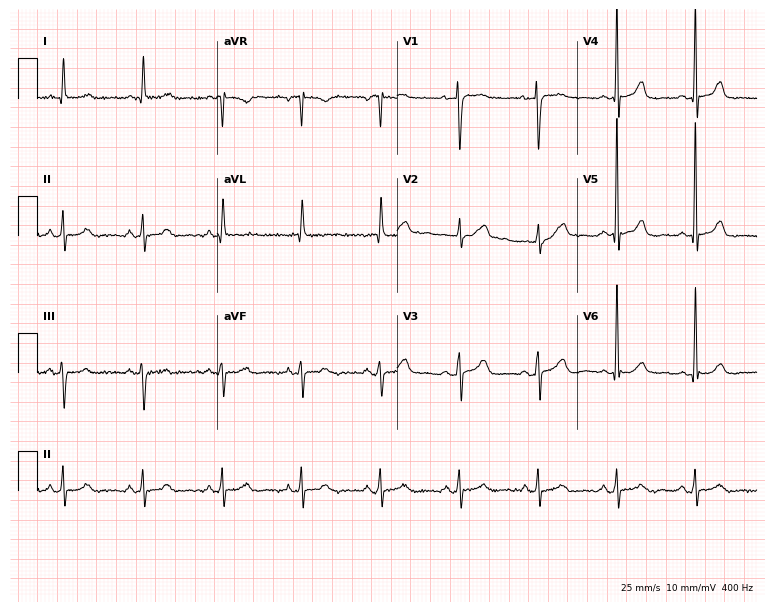
ECG (7.3-second recording at 400 Hz) — a female, 84 years old. Labelled as a normal ECG.